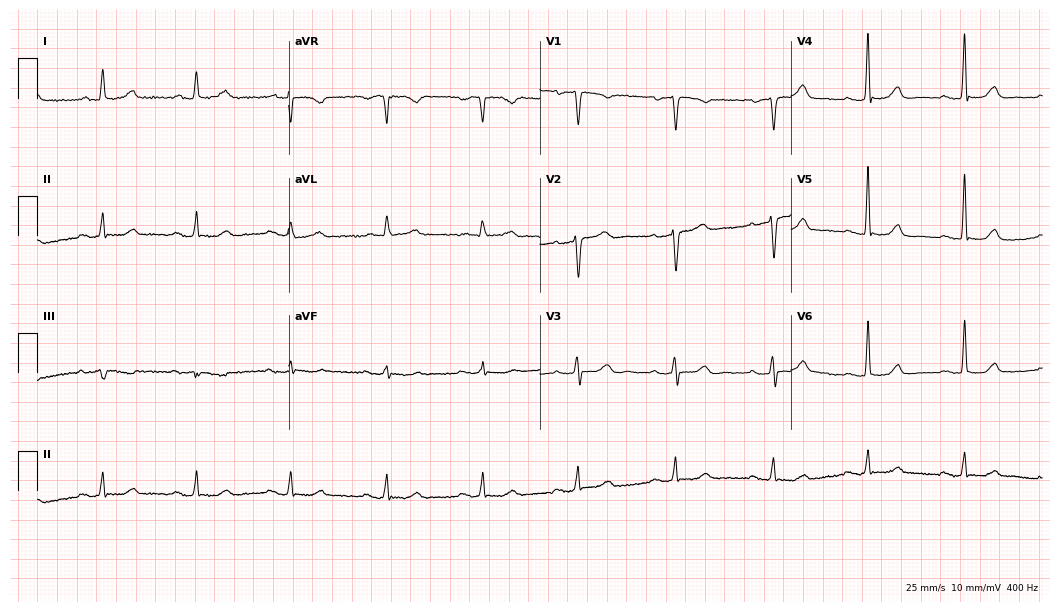
Electrocardiogram, a female patient, 70 years old. Overall reading on record: normal ECG.